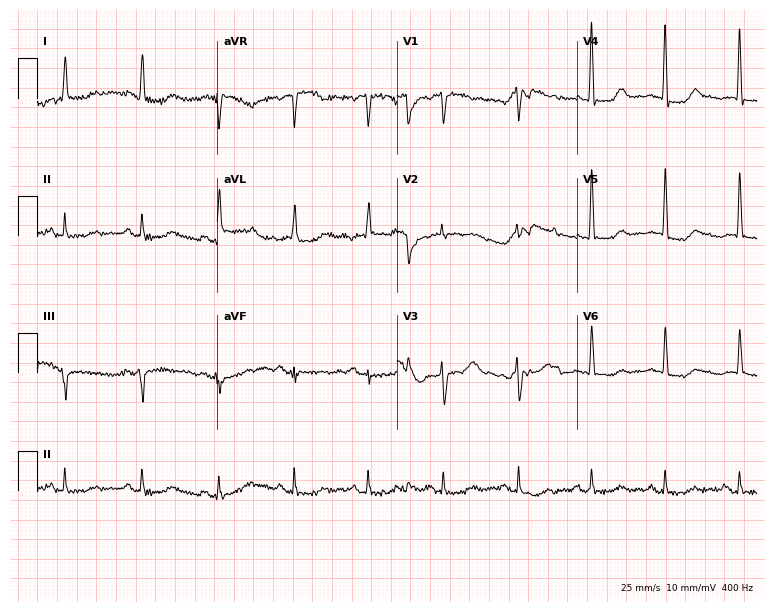
12-lead ECG from a 77-year-old woman. Screened for six findings — first-degree AV block, right bundle branch block (RBBB), left bundle branch block (LBBB), sinus bradycardia, atrial fibrillation (AF), sinus tachycardia — none is recorded.